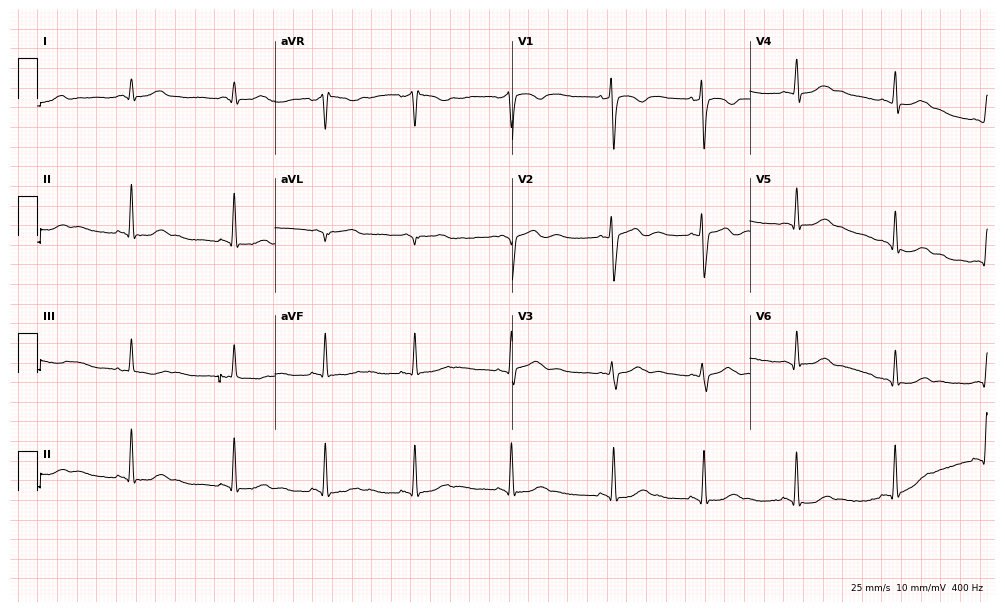
Resting 12-lead electrocardiogram. Patient: a woman, 30 years old. Read as a normal ECG.